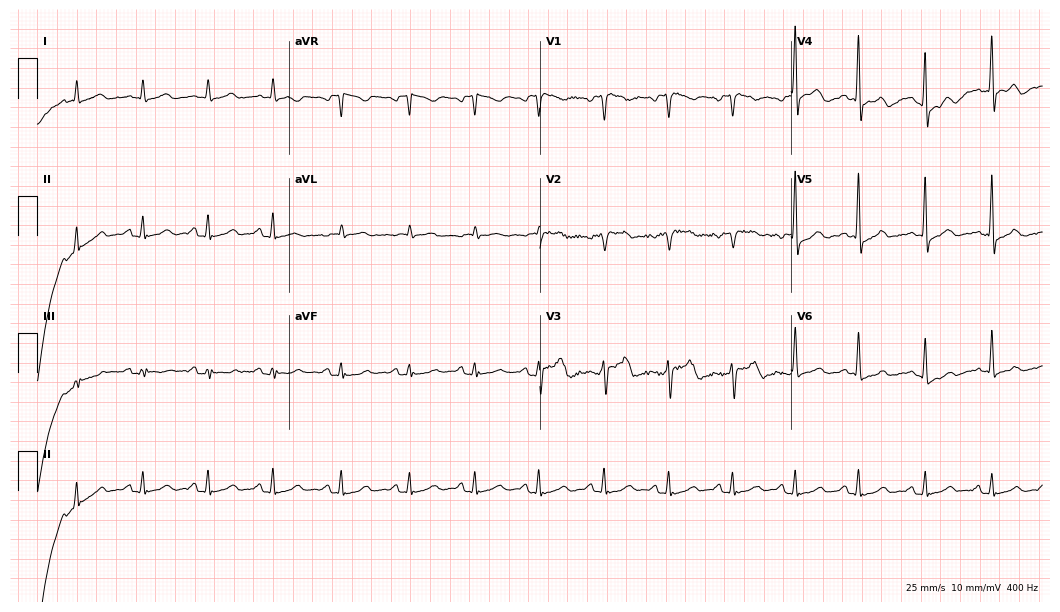
12-lead ECG from a female, 41 years old. Recorded interpretation: within normal limits.